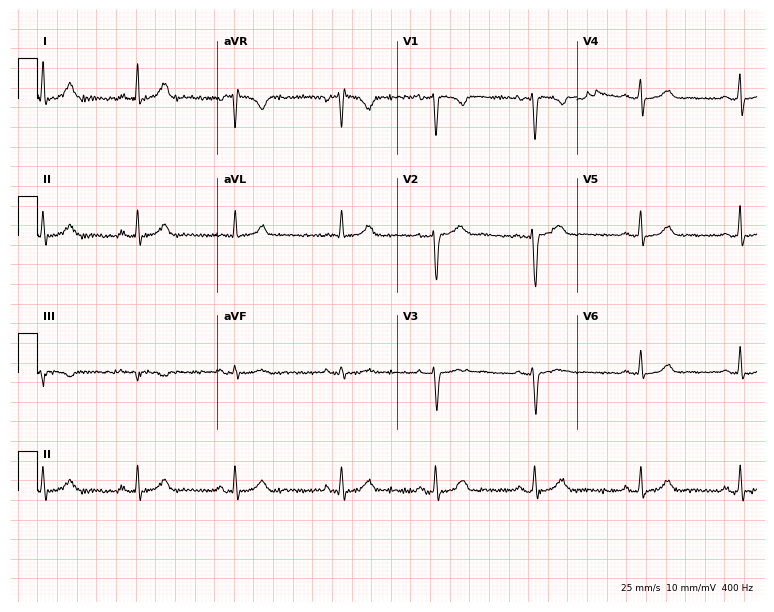
12-lead ECG from a woman, 34 years old. Labelled as a normal ECG.